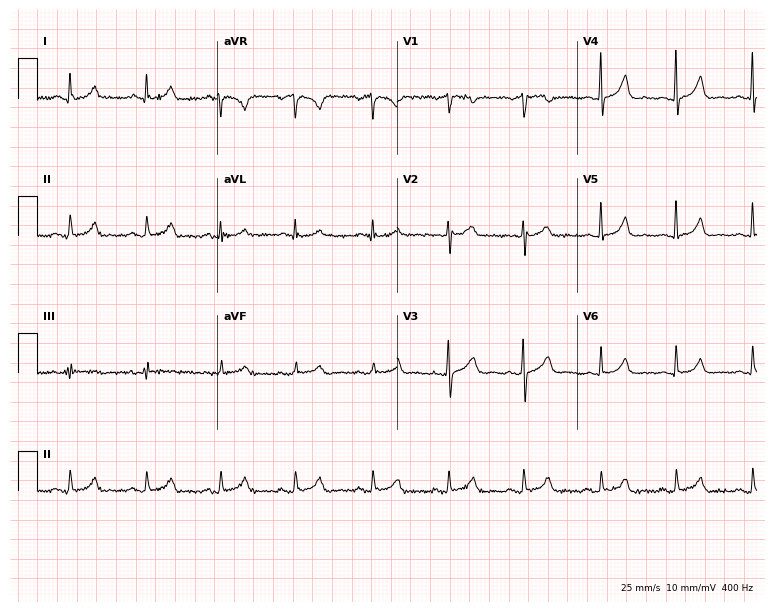
Resting 12-lead electrocardiogram (7.3-second recording at 400 Hz). Patient: a woman, 38 years old. Read as a normal ECG.